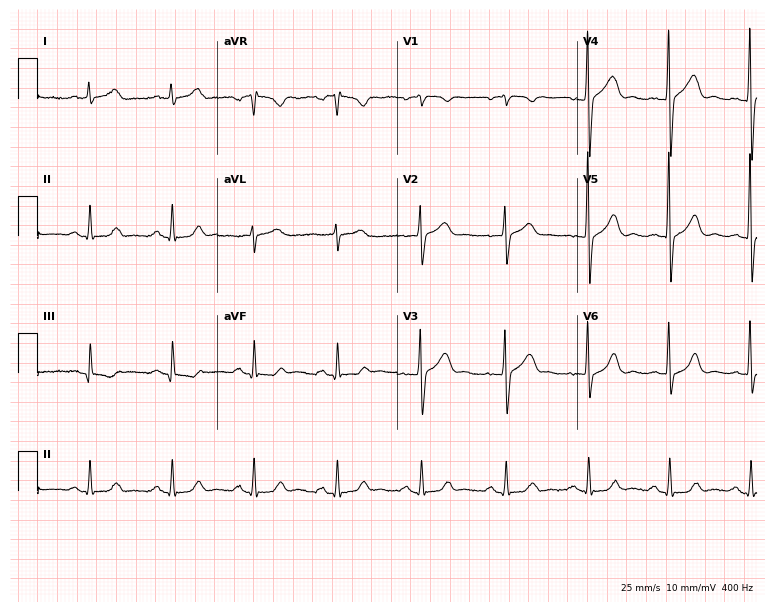
ECG (7.3-second recording at 400 Hz) — a 59-year-old female patient. Labelled as a normal ECG.